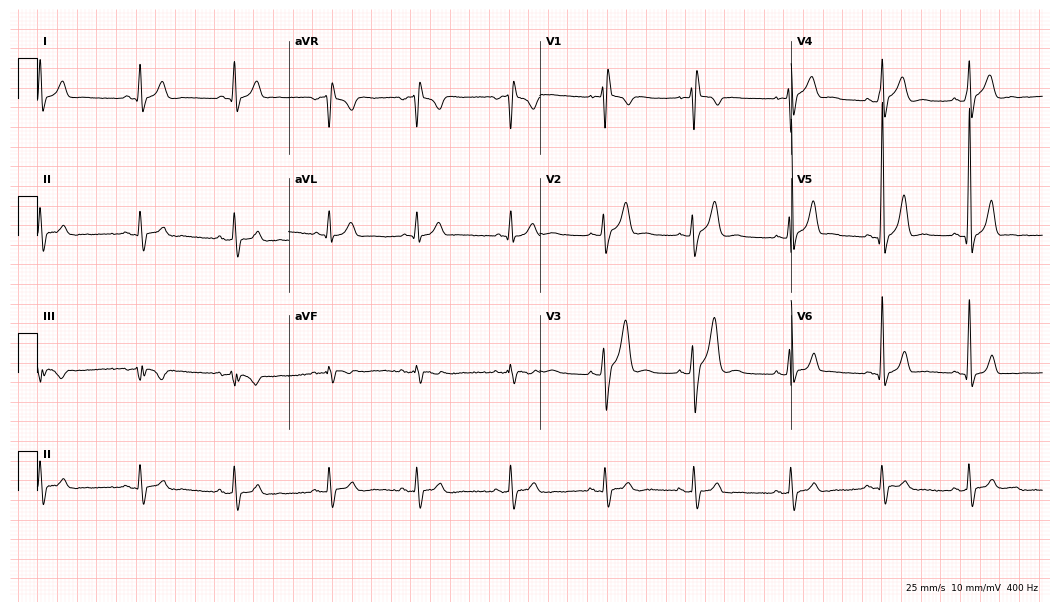
ECG (10.2-second recording at 400 Hz) — a male, 22 years old. Screened for six findings — first-degree AV block, right bundle branch block (RBBB), left bundle branch block (LBBB), sinus bradycardia, atrial fibrillation (AF), sinus tachycardia — none is recorded.